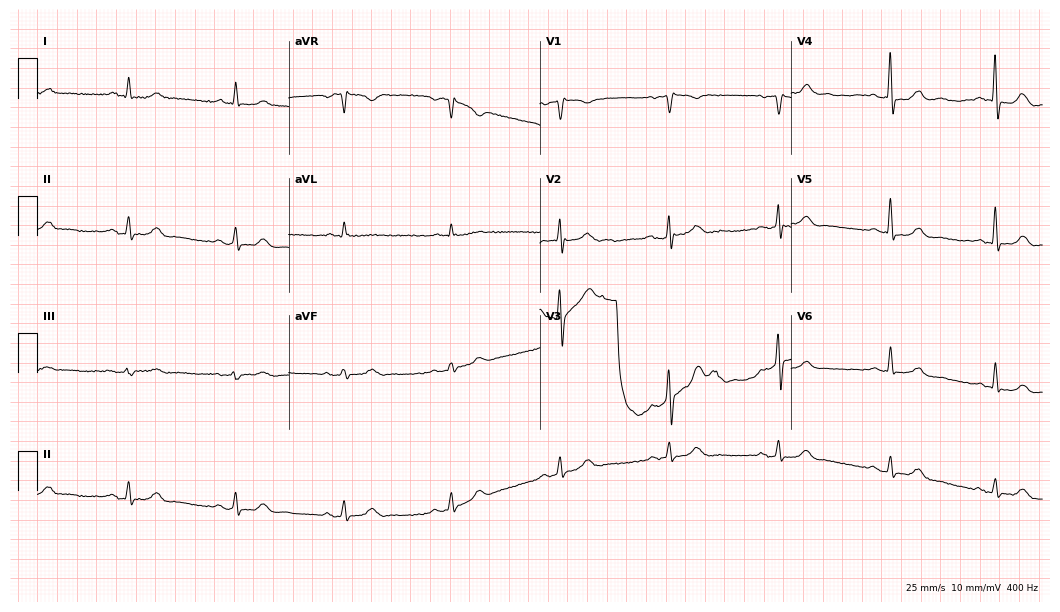
12-lead ECG from an 82-year-old man. No first-degree AV block, right bundle branch block, left bundle branch block, sinus bradycardia, atrial fibrillation or sinus tachycardia recorded for this tracing.